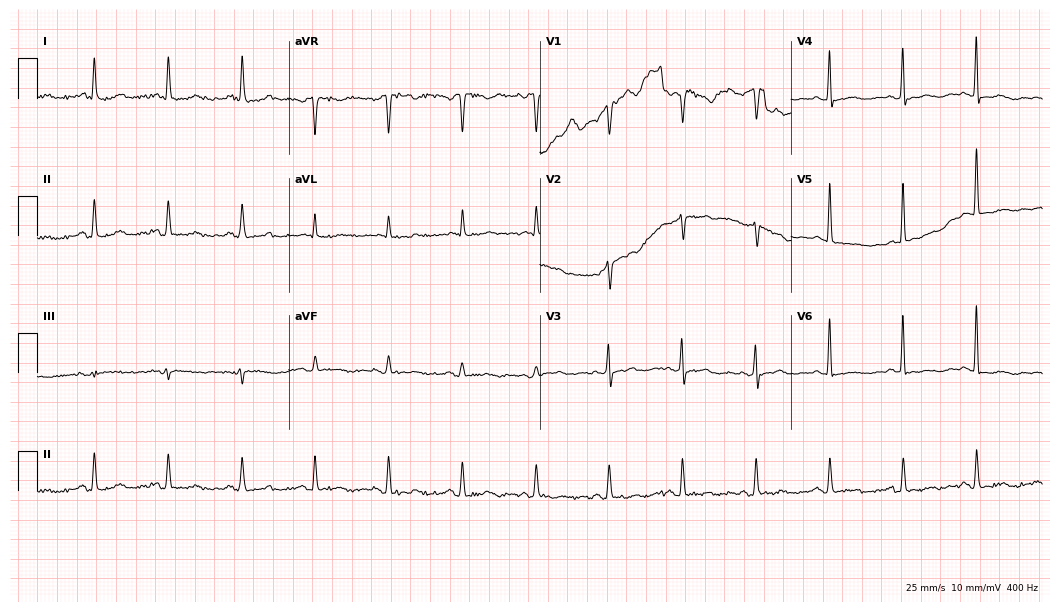
Electrocardiogram, a woman, 82 years old. Of the six screened findings (first-degree AV block, right bundle branch block (RBBB), left bundle branch block (LBBB), sinus bradycardia, atrial fibrillation (AF), sinus tachycardia), none is recorded.